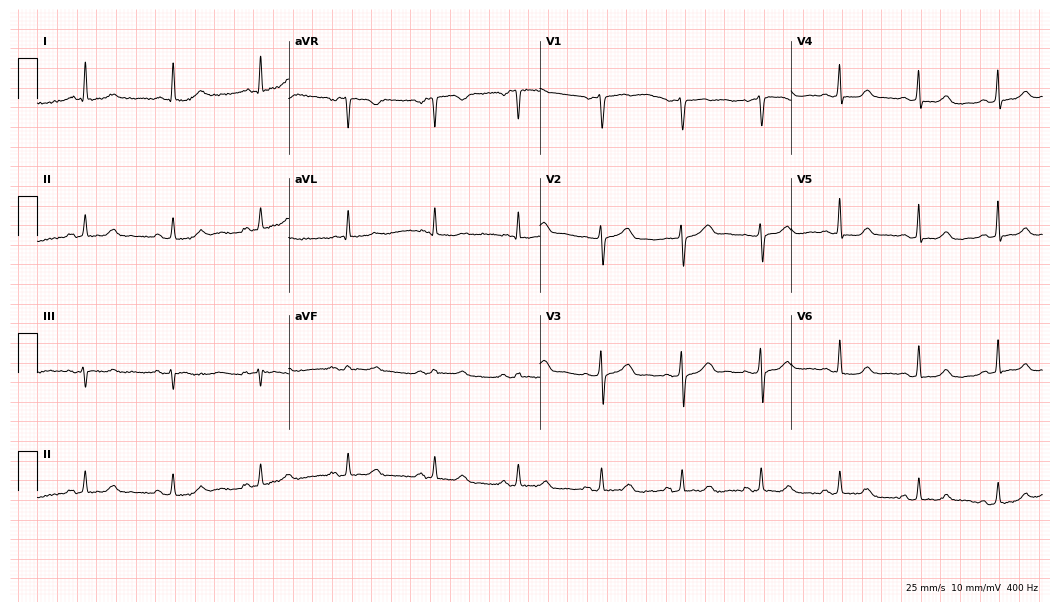
Resting 12-lead electrocardiogram. Patient: a 57-year-old female. Read as a normal ECG.